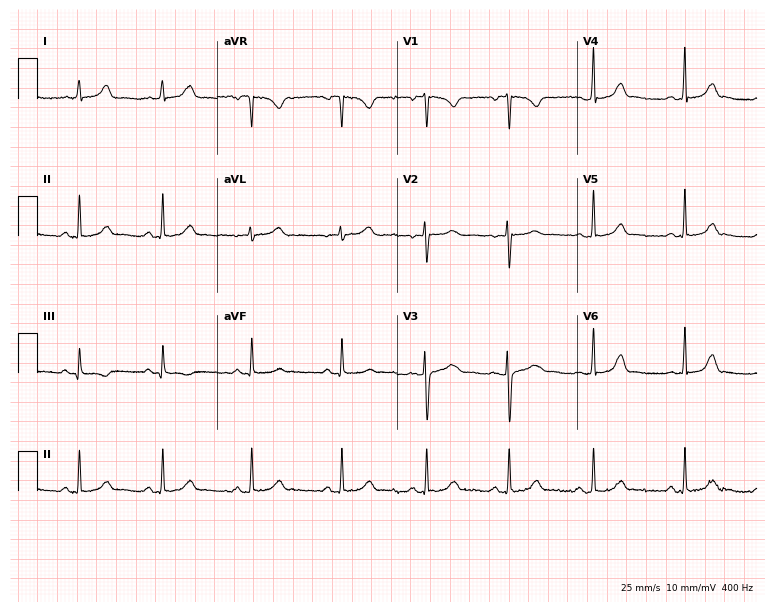
Electrocardiogram (7.3-second recording at 400 Hz), an 18-year-old female patient. Overall reading on record: normal ECG.